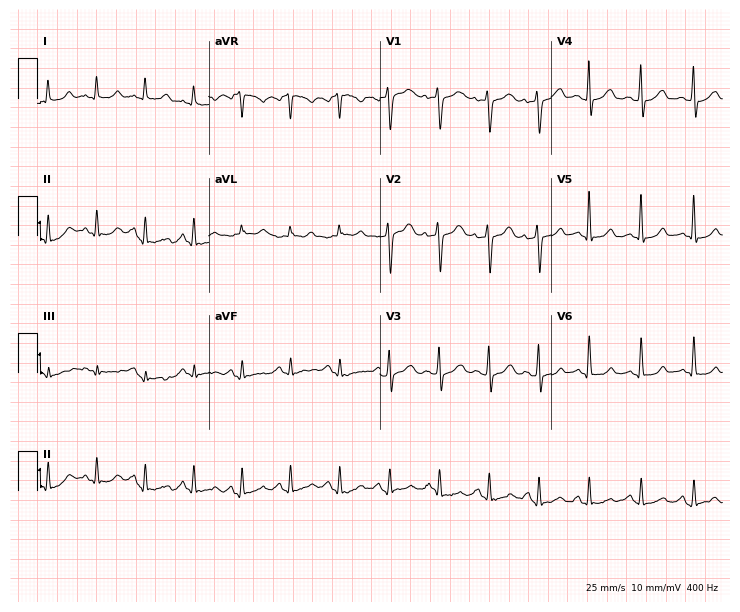
Resting 12-lead electrocardiogram (7-second recording at 400 Hz). Patient: a 36-year-old female. None of these six findings is recorded: first-degree AV block, right bundle branch block, left bundle branch block, sinus bradycardia, atrial fibrillation, sinus tachycardia. Findings outside these six are not listed.